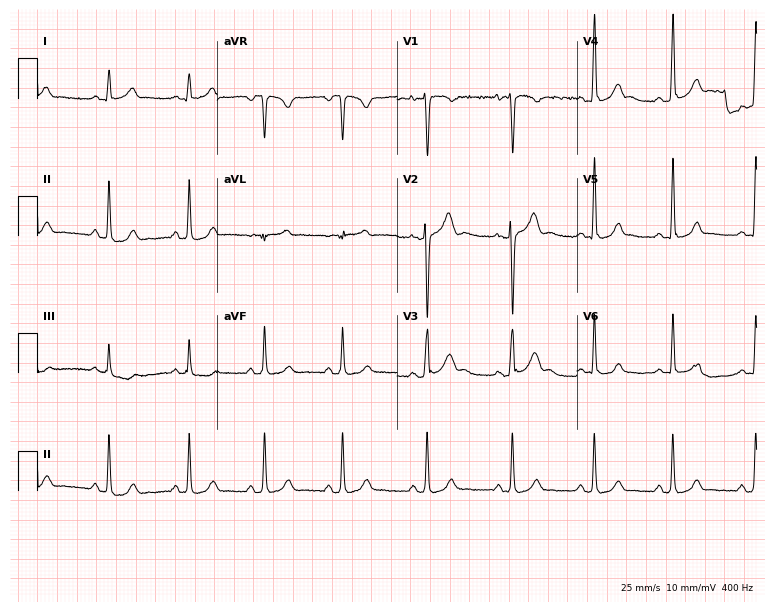
Electrocardiogram (7.3-second recording at 400 Hz), a male, 17 years old. Overall reading on record: normal ECG.